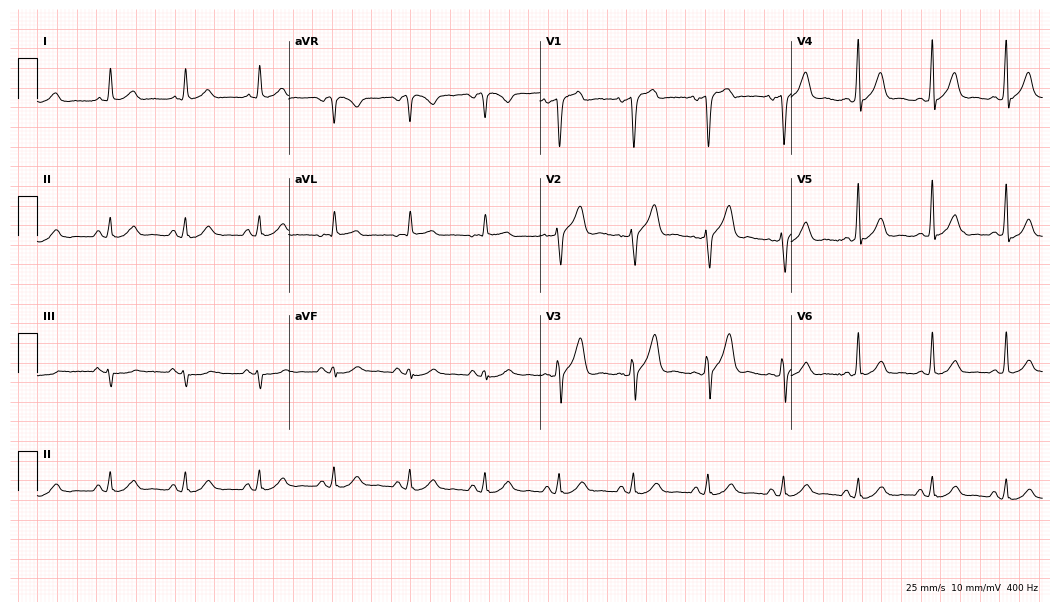
12-lead ECG from a male patient, 56 years old. Recorded interpretation: within normal limits.